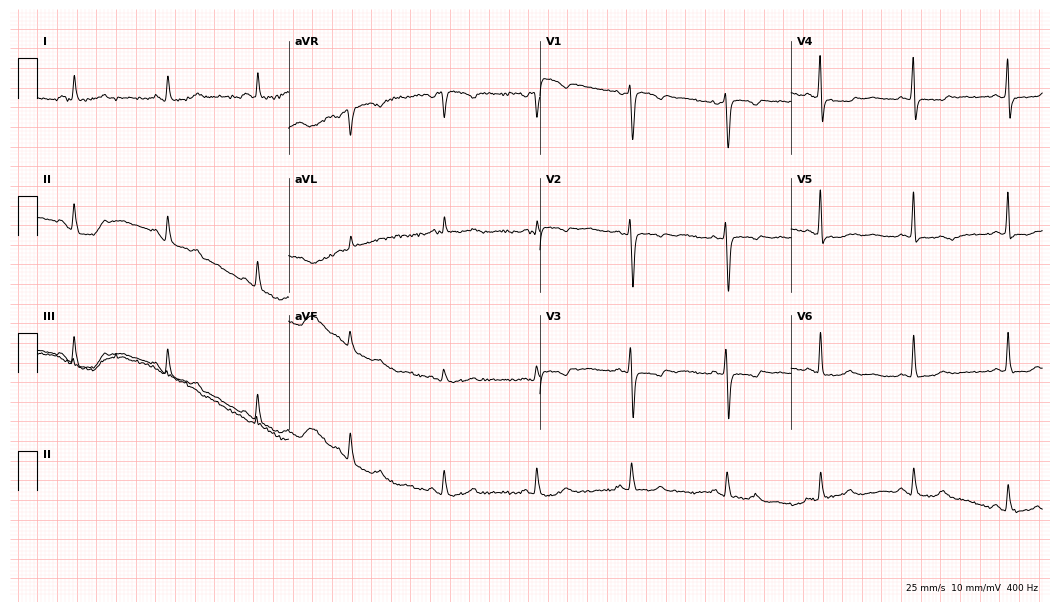
ECG (10.2-second recording at 400 Hz) — a female, 71 years old. Screened for six findings — first-degree AV block, right bundle branch block (RBBB), left bundle branch block (LBBB), sinus bradycardia, atrial fibrillation (AF), sinus tachycardia — none is recorded.